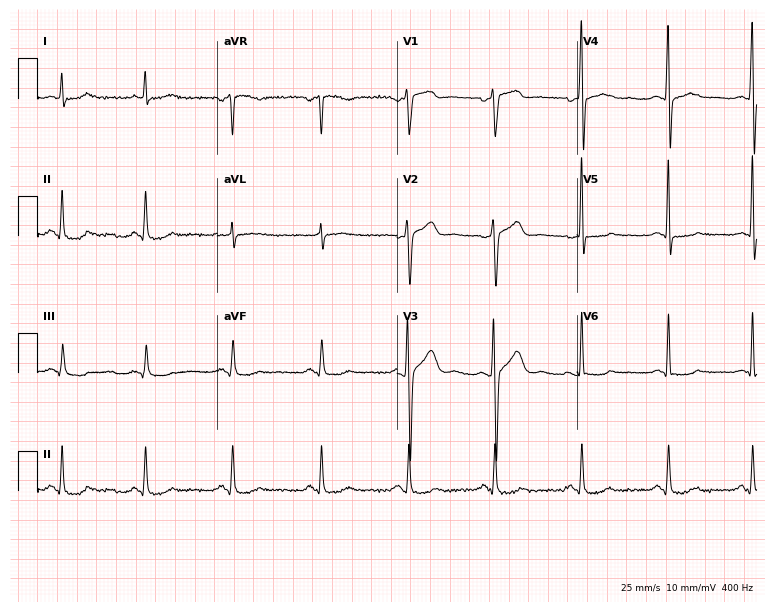
Standard 12-lead ECG recorded from a 42-year-old male patient. Read as a normal ECG.